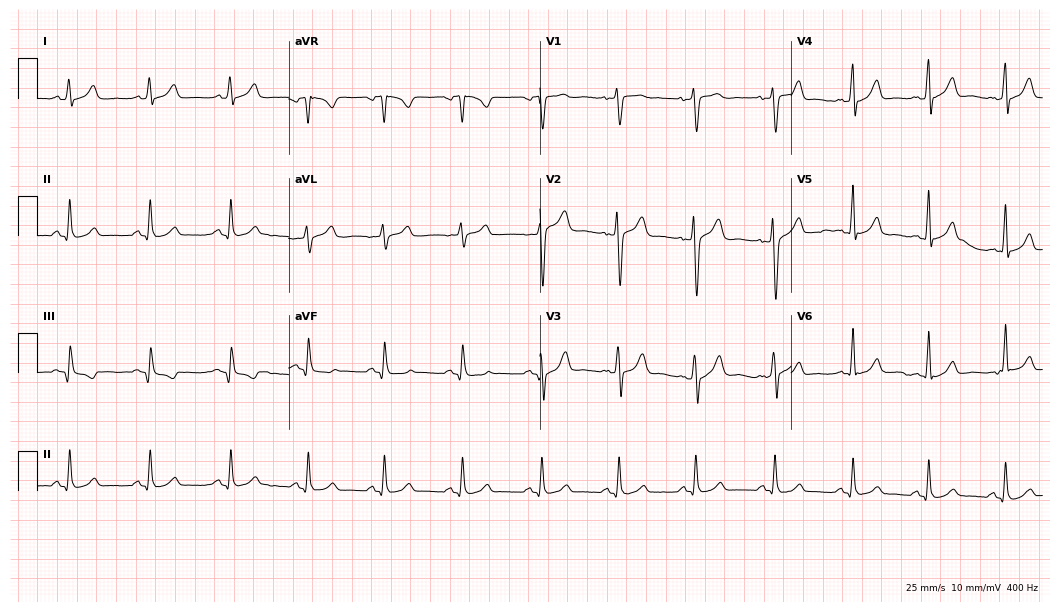
12-lead ECG from a male, 36 years old. Recorded interpretation: within normal limits.